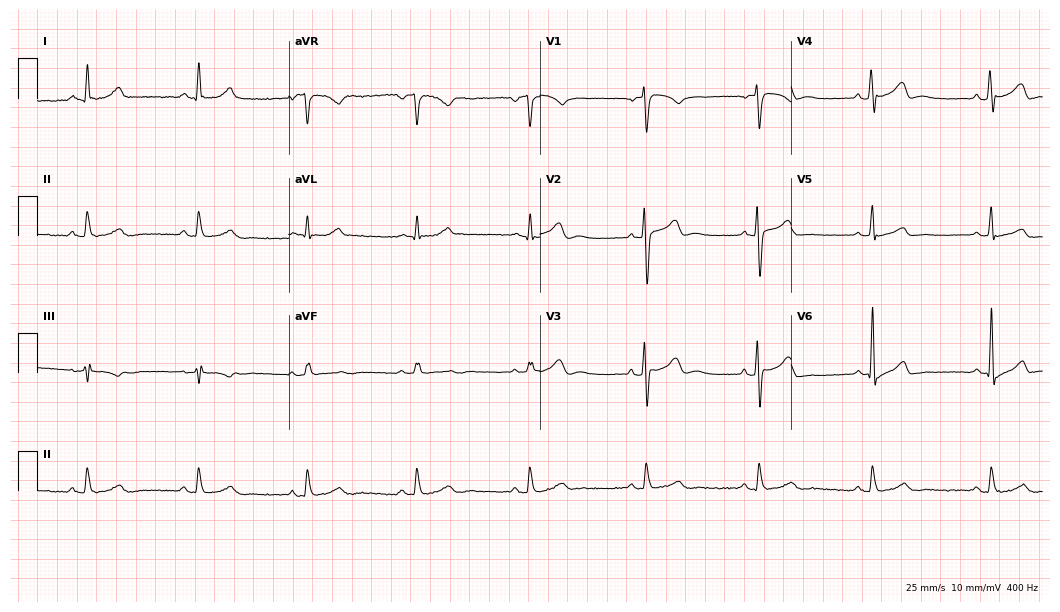
12-lead ECG from a 41-year-old man. Screened for six findings — first-degree AV block, right bundle branch block, left bundle branch block, sinus bradycardia, atrial fibrillation, sinus tachycardia — none is recorded. Only these six findings were labelled.